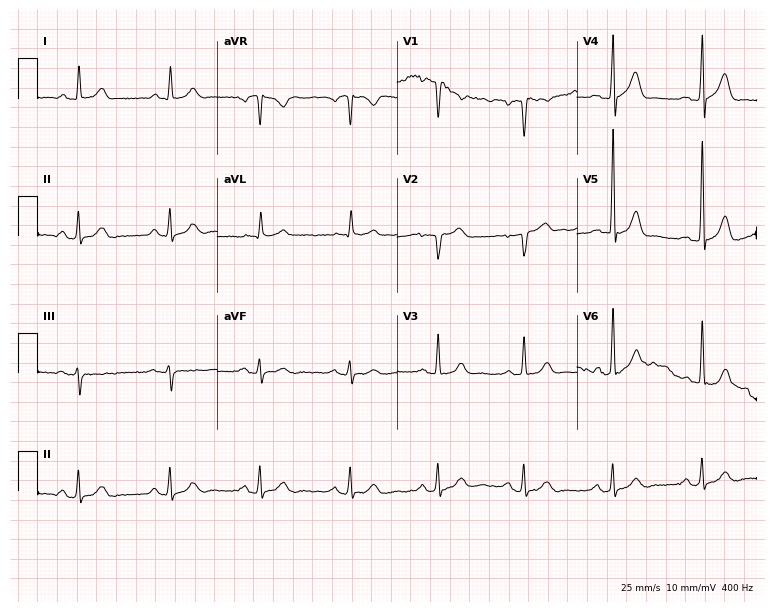
Resting 12-lead electrocardiogram (7.3-second recording at 400 Hz). Patient: a 44-year-old man. None of these six findings is recorded: first-degree AV block, right bundle branch block, left bundle branch block, sinus bradycardia, atrial fibrillation, sinus tachycardia.